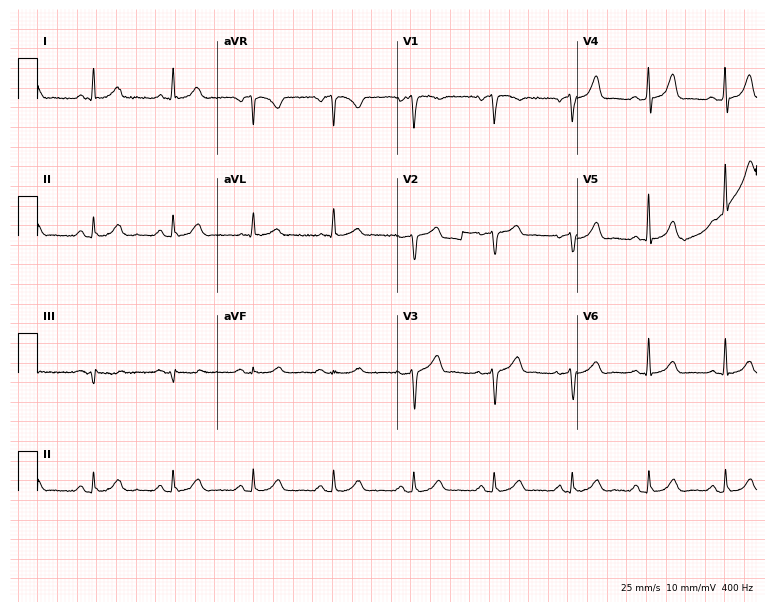
ECG (7.3-second recording at 400 Hz) — a female, 63 years old. Labelled as a normal ECG.